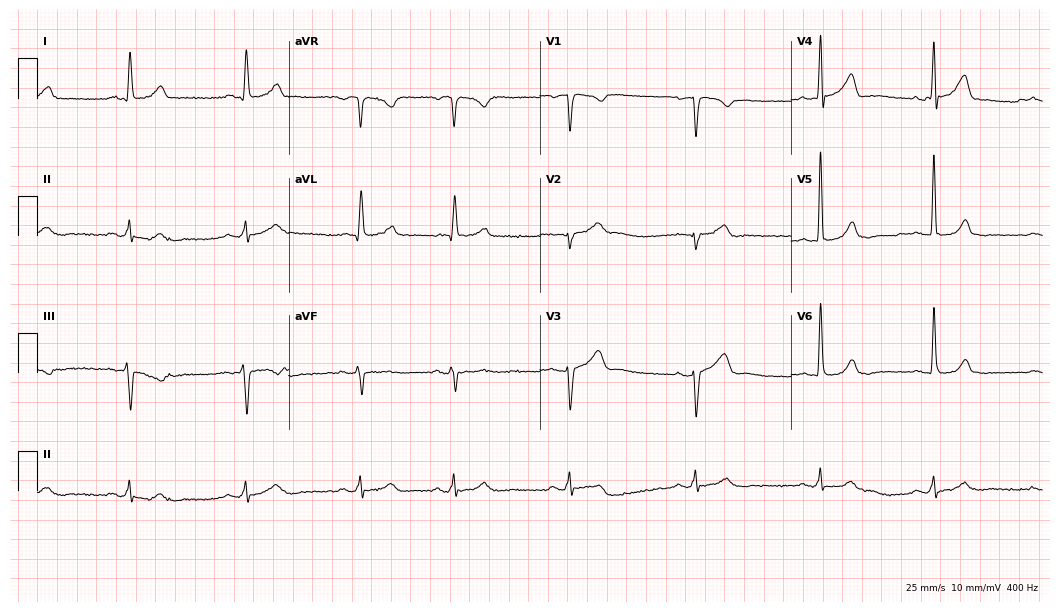
12-lead ECG (10.2-second recording at 400 Hz) from a male, 74 years old. Screened for six findings — first-degree AV block, right bundle branch block, left bundle branch block, sinus bradycardia, atrial fibrillation, sinus tachycardia — none is recorded.